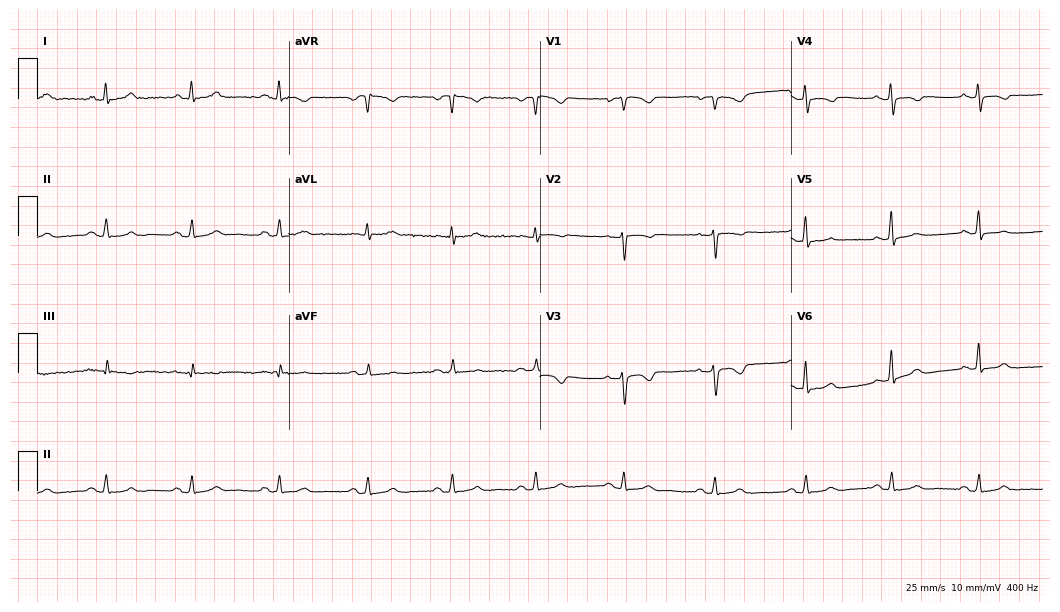
12-lead ECG from a 44-year-old female patient. No first-degree AV block, right bundle branch block (RBBB), left bundle branch block (LBBB), sinus bradycardia, atrial fibrillation (AF) or sinus tachycardia recorded for this tracing.